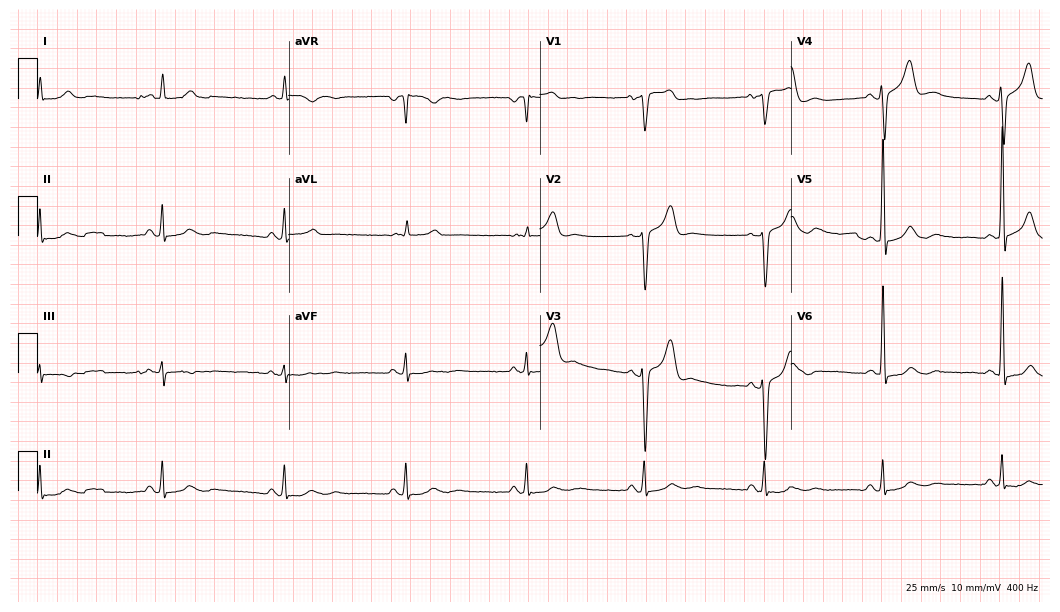
ECG (10.2-second recording at 400 Hz) — a 78-year-old male. Findings include sinus bradycardia (a sinus rate of 50 beats per minute or less).